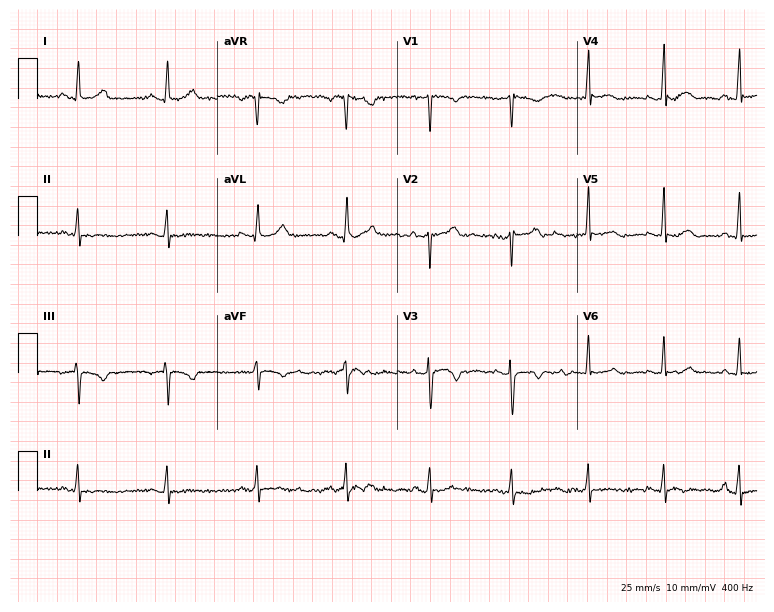
12-lead ECG from a 29-year-old woman. No first-degree AV block, right bundle branch block, left bundle branch block, sinus bradycardia, atrial fibrillation or sinus tachycardia recorded for this tracing. Only these six findings were labelled.